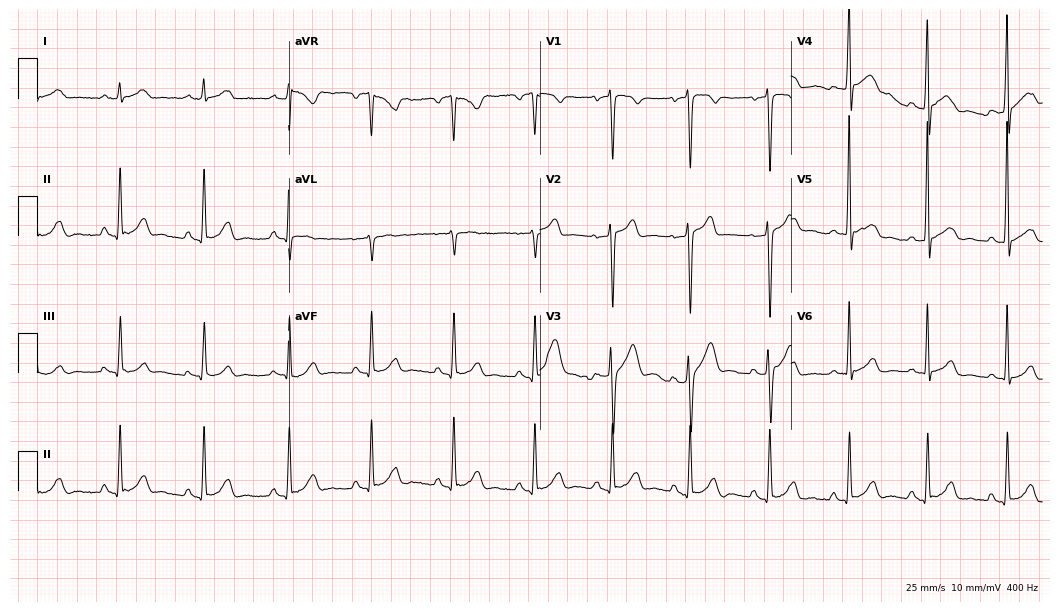
Standard 12-lead ECG recorded from a male, 38 years old (10.2-second recording at 400 Hz). Read as a normal ECG.